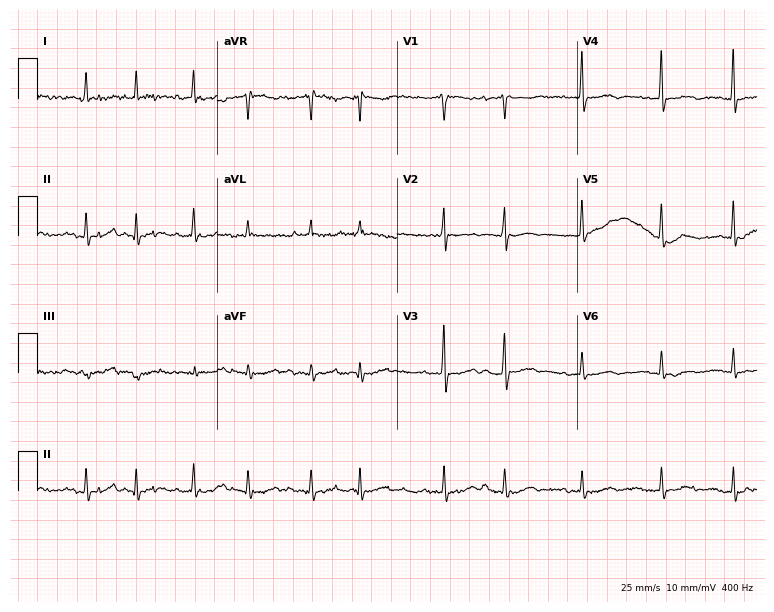
Standard 12-lead ECG recorded from an 83-year-old female. The tracing shows atrial fibrillation.